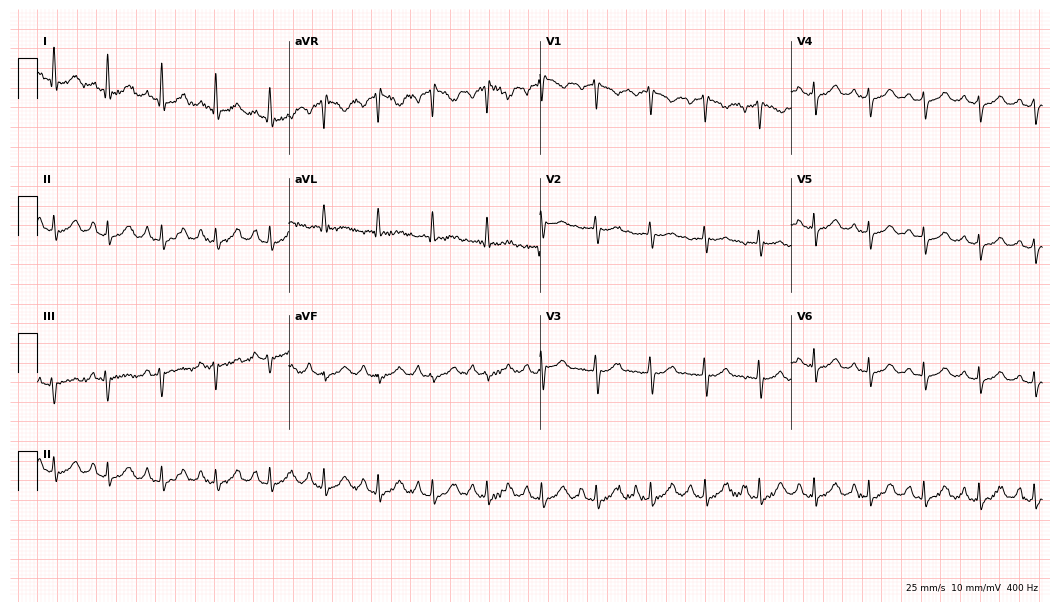
ECG — a female patient, 47 years old. Screened for six findings — first-degree AV block, right bundle branch block, left bundle branch block, sinus bradycardia, atrial fibrillation, sinus tachycardia — none is recorded.